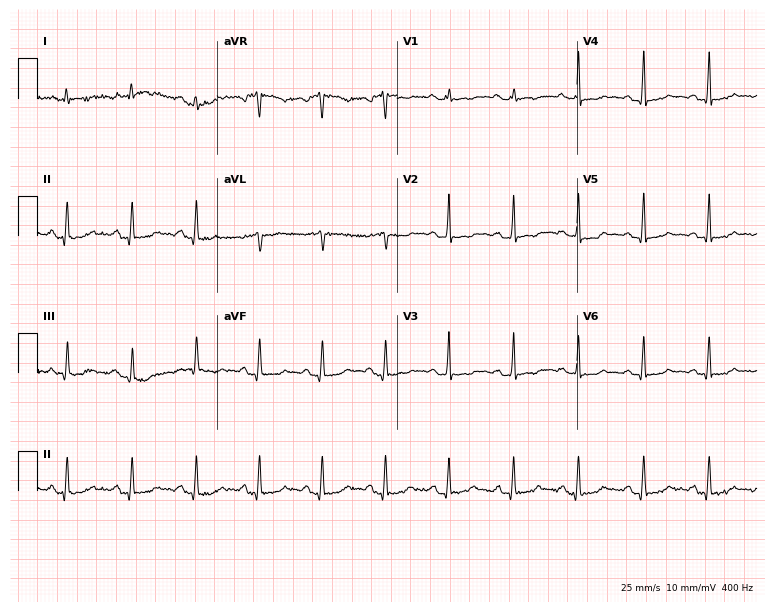
ECG — a 41-year-old female. Labelled as a normal ECG.